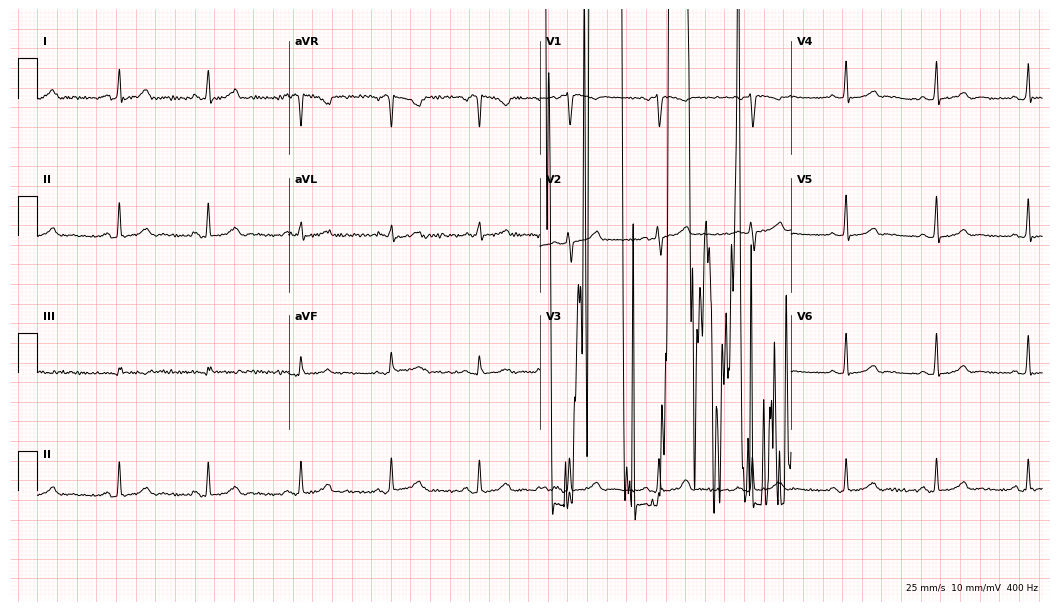
ECG (10.2-second recording at 400 Hz) — a female patient, 33 years old. Screened for six findings — first-degree AV block, right bundle branch block, left bundle branch block, sinus bradycardia, atrial fibrillation, sinus tachycardia — none is recorded.